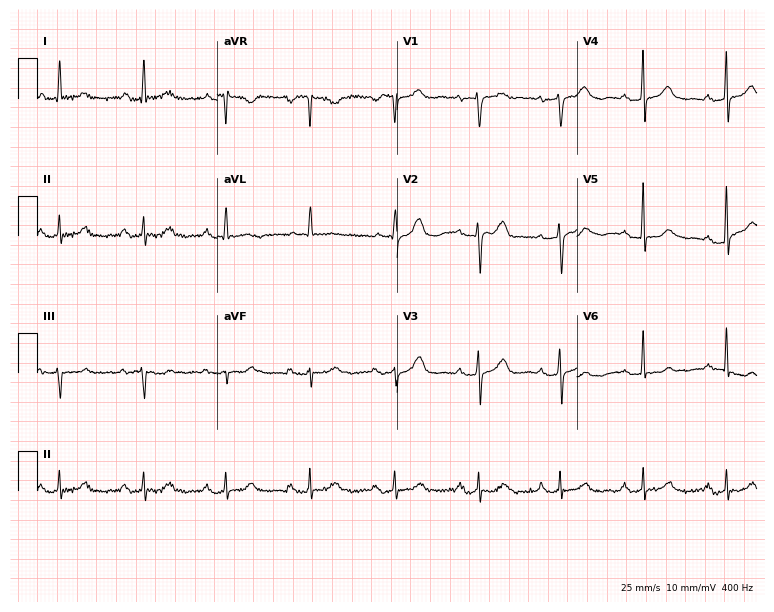
12-lead ECG from a female, 53 years old. Shows first-degree AV block.